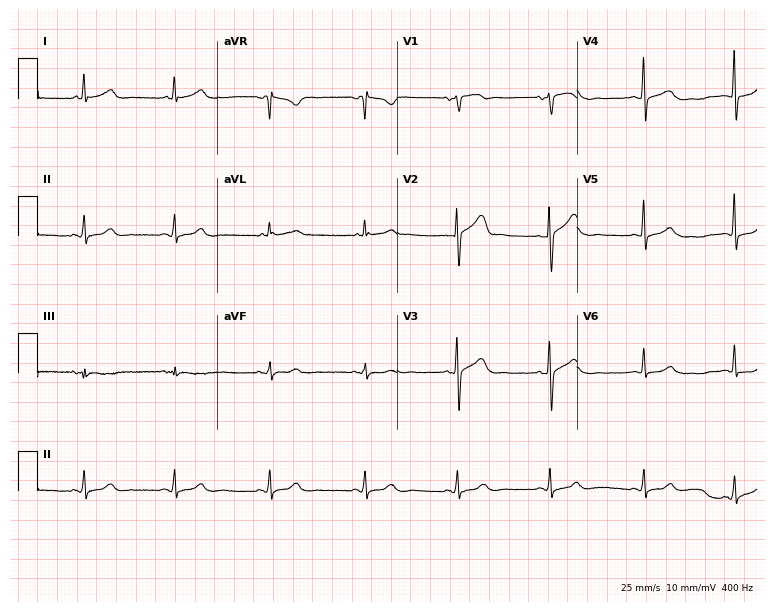
12-lead ECG from a 55-year-old female patient (7.3-second recording at 400 Hz). Recorded interpretation: within normal limits.